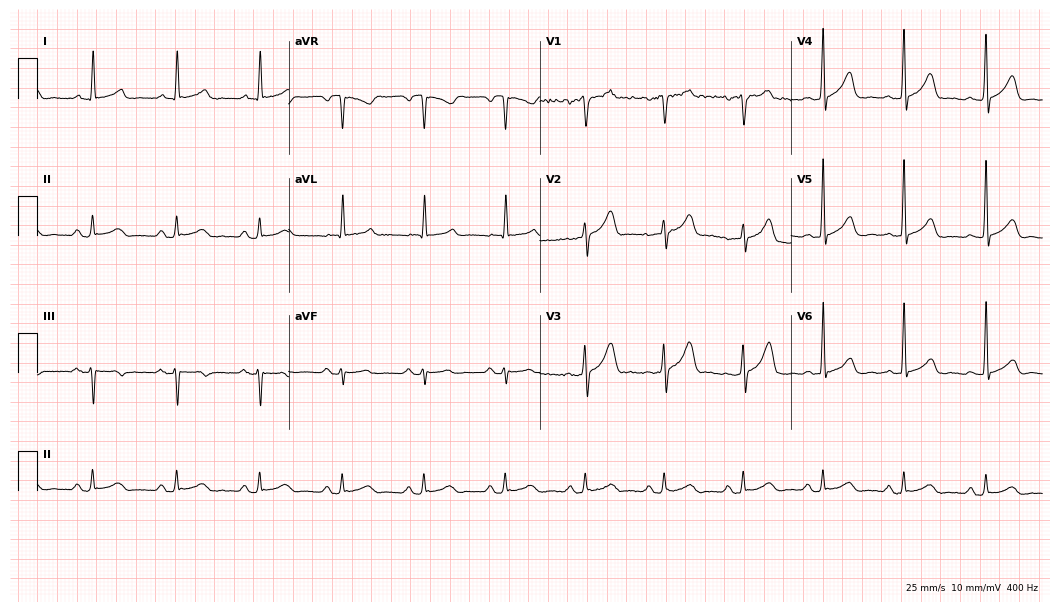
12-lead ECG from a man, 56 years old (10.2-second recording at 400 Hz). No first-degree AV block, right bundle branch block, left bundle branch block, sinus bradycardia, atrial fibrillation or sinus tachycardia recorded for this tracing. Only these six findings were labelled.